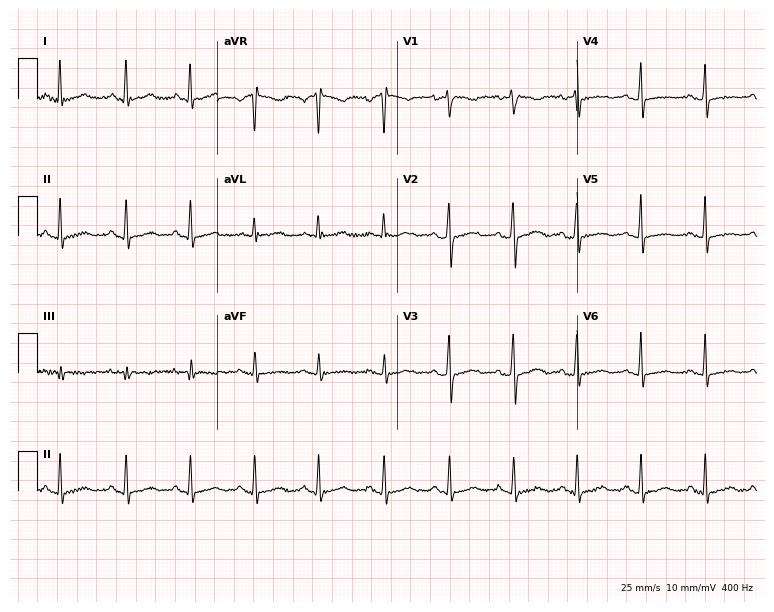
Resting 12-lead electrocardiogram (7.3-second recording at 400 Hz). Patient: a female, 35 years old. None of these six findings is recorded: first-degree AV block, right bundle branch block, left bundle branch block, sinus bradycardia, atrial fibrillation, sinus tachycardia. Findings outside these six are not listed.